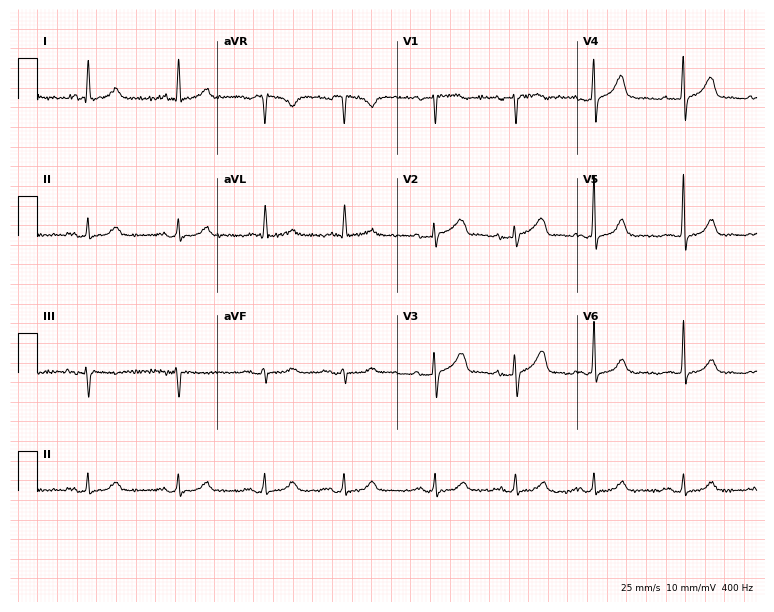
ECG (7.3-second recording at 400 Hz) — a 74-year-old female. Screened for six findings — first-degree AV block, right bundle branch block (RBBB), left bundle branch block (LBBB), sinus bradycardia, atrial fibrillation (AF), sinus tachycardia — none is recorded. Only these six findings were labelled.